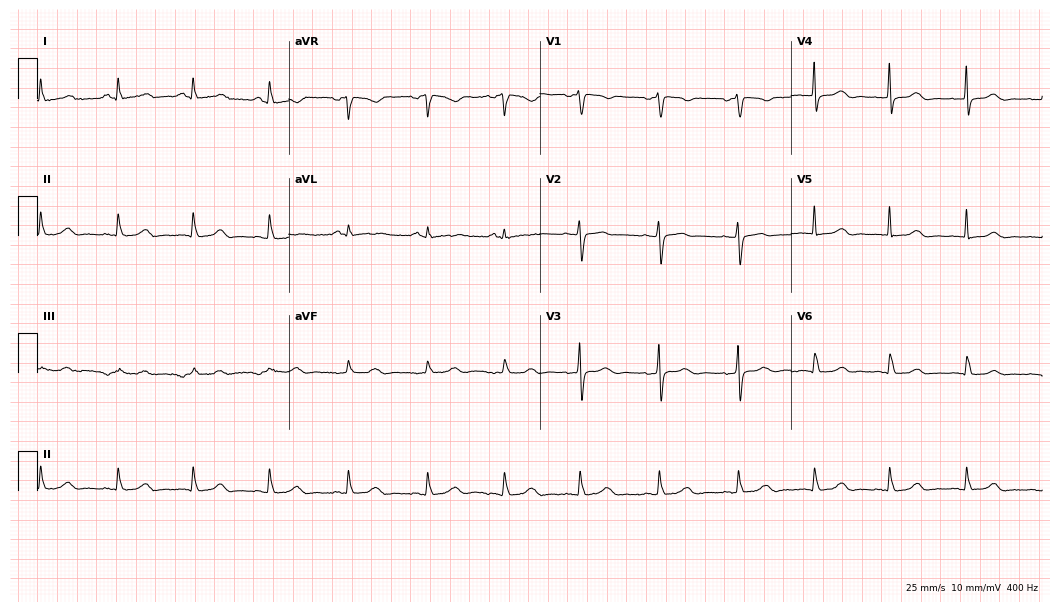
Standard 12-lead ECG recorded from a 65-year-old female patient. Read as a normal ECG.